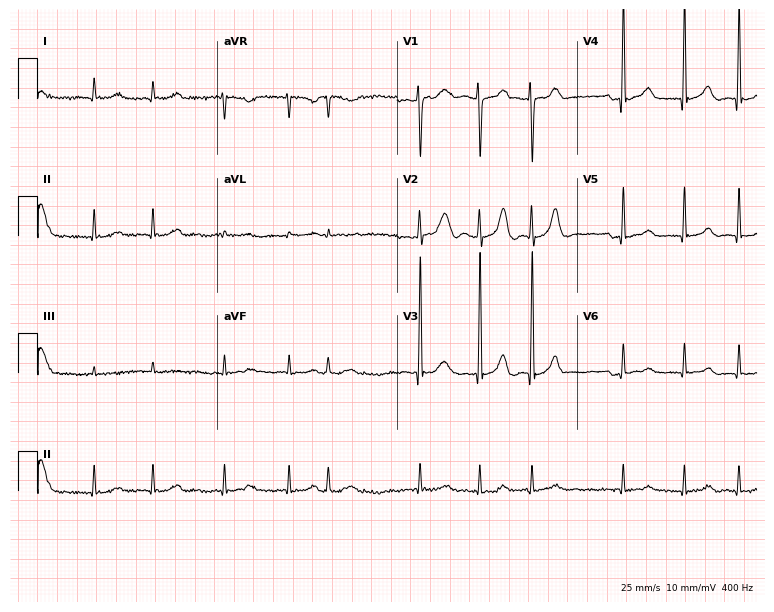
12-lead ECG from a woman, 84 years old. Findings include atrial fibrillation.